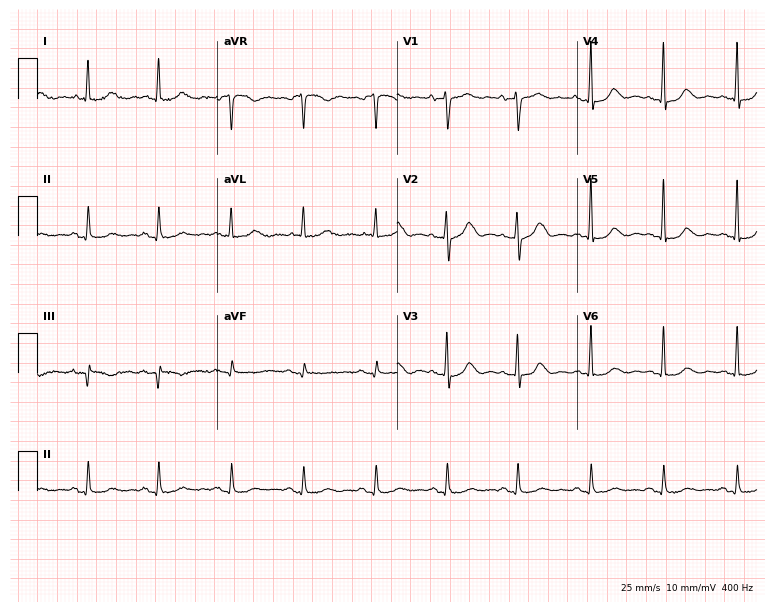
Resting 12-lead electrocardiogram. Patient: a woman, 81 years old. None of these six findings is recorded: first-degree AV block, right bundle branch block, left bundle branch block, sinus bradycardia, atrial fibrillation, sinus tachycardia.